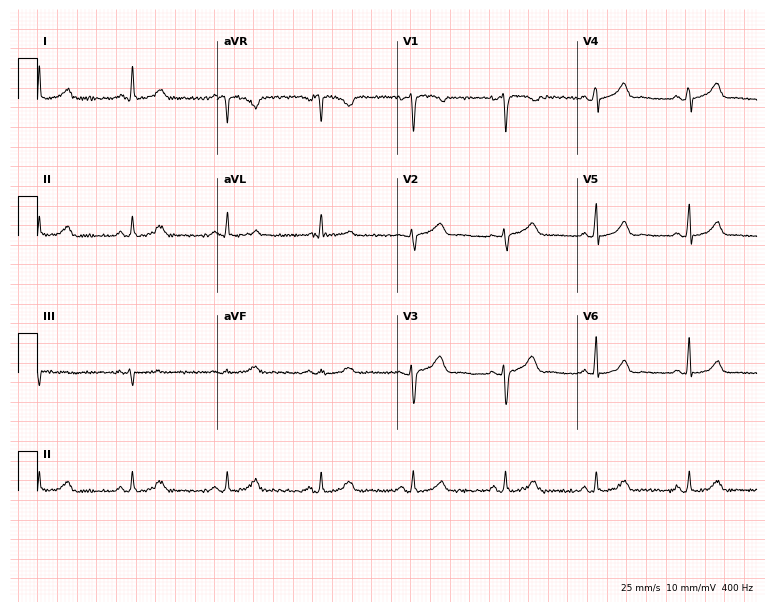
12-lead ECG from a 47-year-old female. Recorded interpretation: within normal limits.